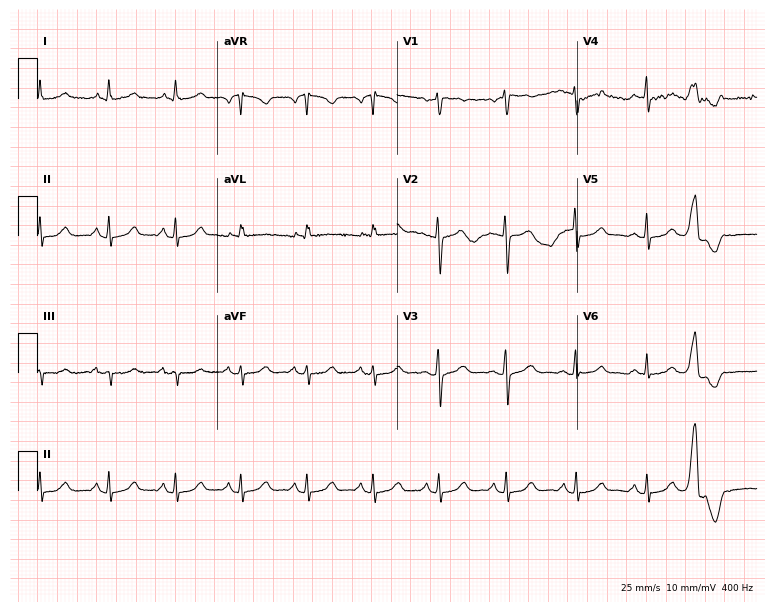
Resting 12-lead electrocardiogram (7.3-second recording at 400 Hz). Patient: a 48-year-old woman. Read as a normal ECG.